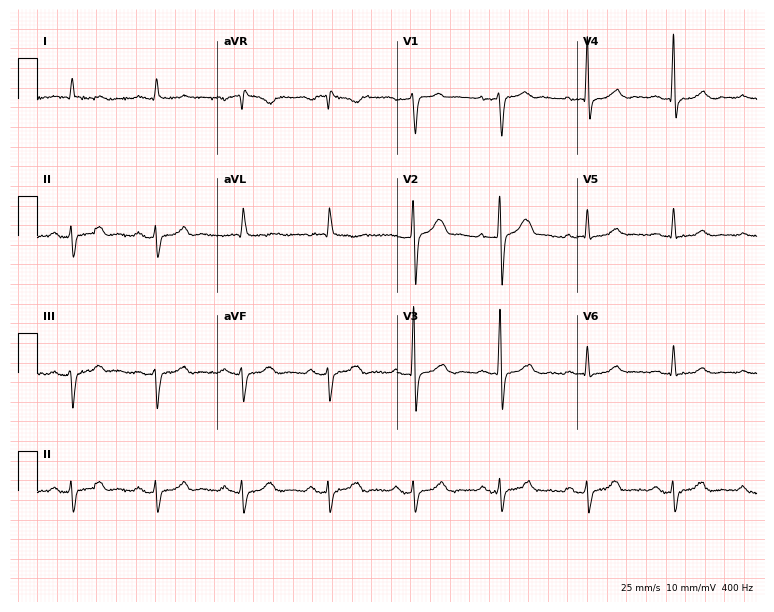
12-lead ECG from a 66-year-old male patient. No first-degree AV block, right bundle branch block (RBBB), left bundle branch block (LBBB), sinus bradycardia, atrial fibrillation (AF) or sinus tachycardia recorded for this tracing. Other findings, if any, are not listed.